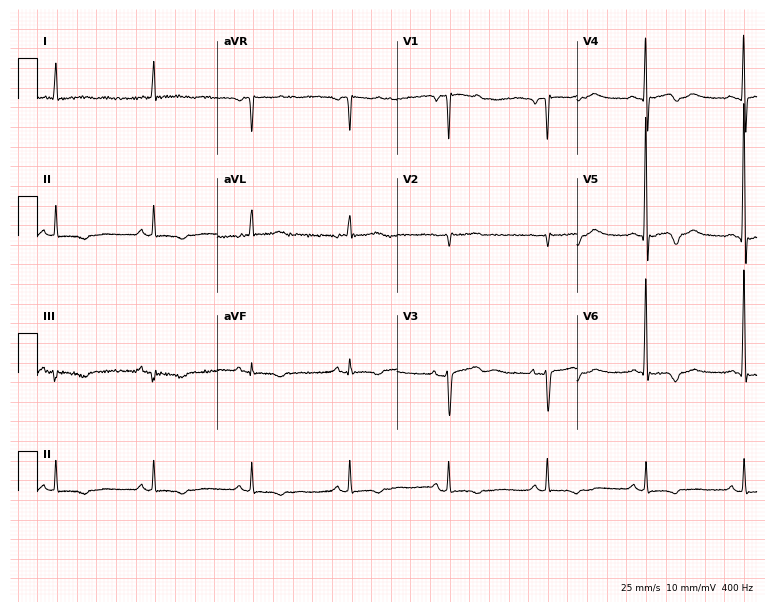
Standard 12-lead ECG recorded from a 67-year-old female. None of these six findings is recorded: first-degree AV block, right bundle branch block (RBBB), left bundle branch block (LBBB), sinus bradycardia, atrial fibrillation (AF), sinus tachycardia. Only these six findings were labelled.